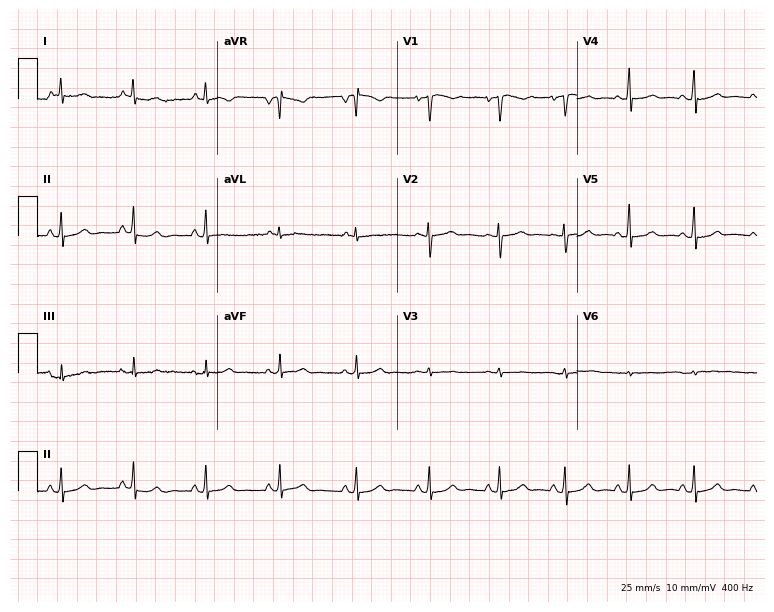
12-lead ECG from a 45-year-old female. Recorded interpretation: within normal limits.